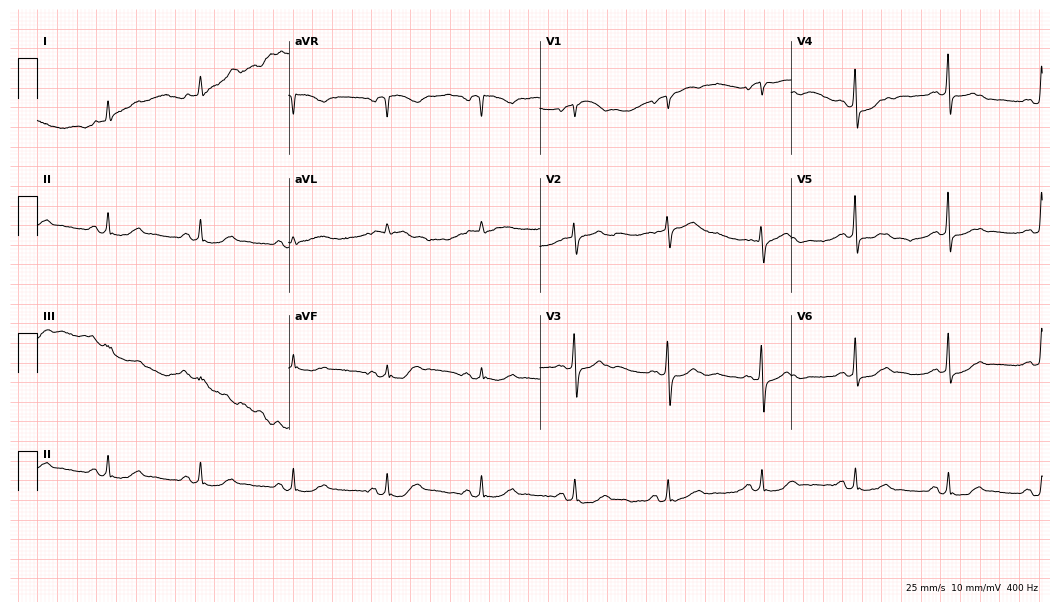
12-lead ECG from a man, 82 years old (10.2-second recording at 400 Hz). No first-degree AV block, right bundle branch block (RBBB), left bundle branch block (LBBB), sinus bradycardia, atrial fibrillation (AF) or sinus tachycardia recorded for this tracing.